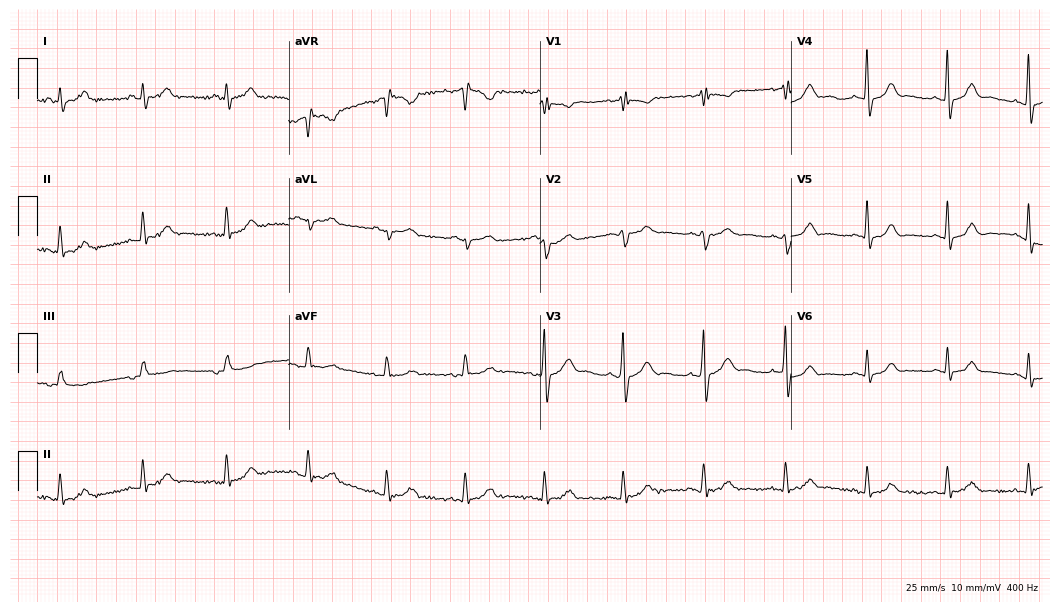
12-lead ECG (10.2-second recording at 400 Hz) from a male patient, 58 years old. Labelled as a normal ECG.